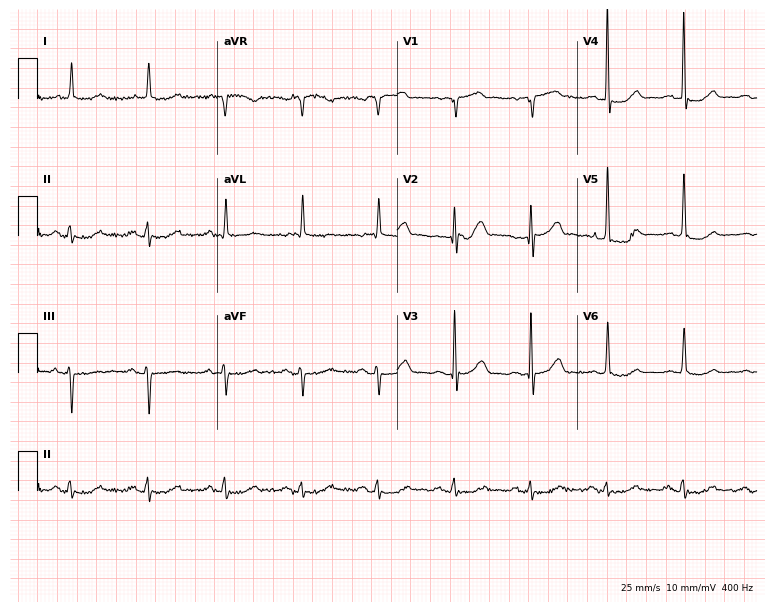
12-lead ECG from an 84-year-old male. Screened for six findings — first-degree AV block, right bundle branch block, left bundle branch block, sinus bradycardia, atrial fibrillation, sinus tachycardia — none is recorded. Findings outside these six are not listed.